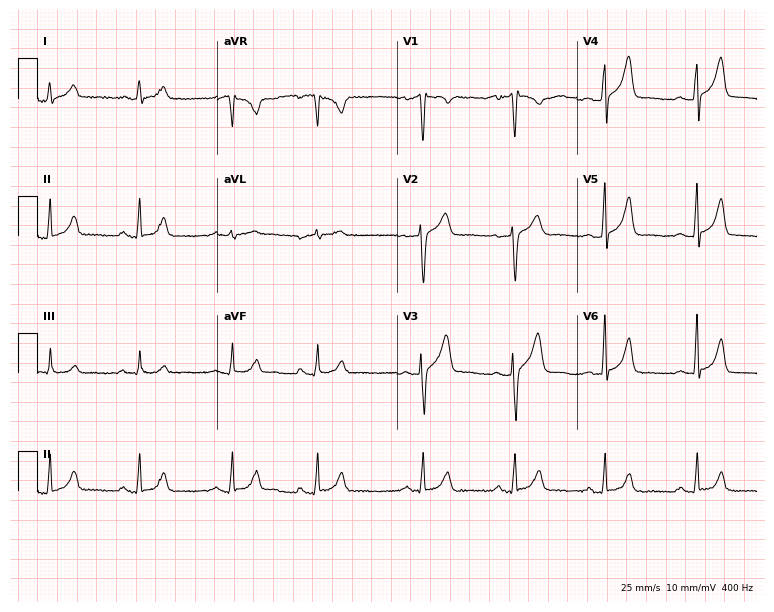
12-lead ECG from a 48-year-old male. Screened for six findings — first-degree AV block, right bundle branch block, left bundle branch block, sinus bradycardia, atrial fibrillation, sinus tachycardia — none is recorded.